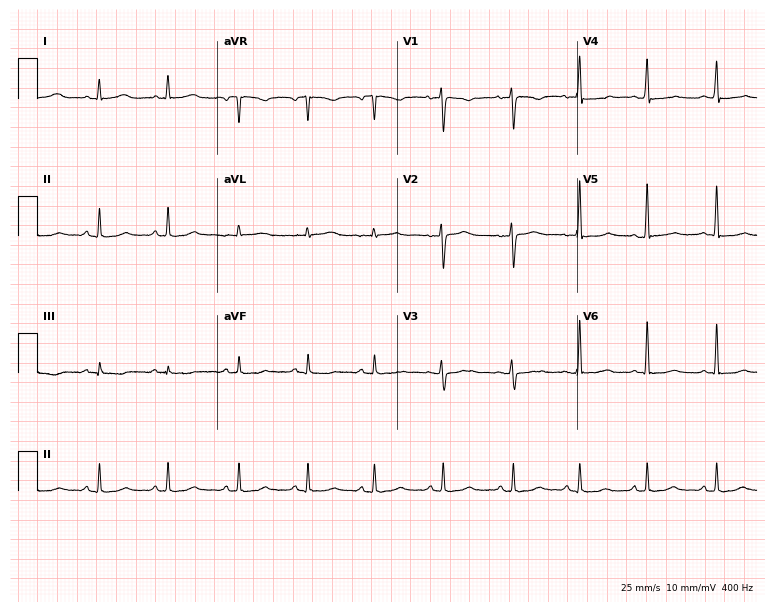
Resting 12-lead electrocardiogram (7.3-second recording at 400 Hz). Patient: a female, 43 years old. None of these six findings is recorded: first-degree AV block, right bundle branch block (RBBB), left bundle branch block (LBBB), sinus bradycardia, atrial fibrillation (AF), sinus tachycardia.